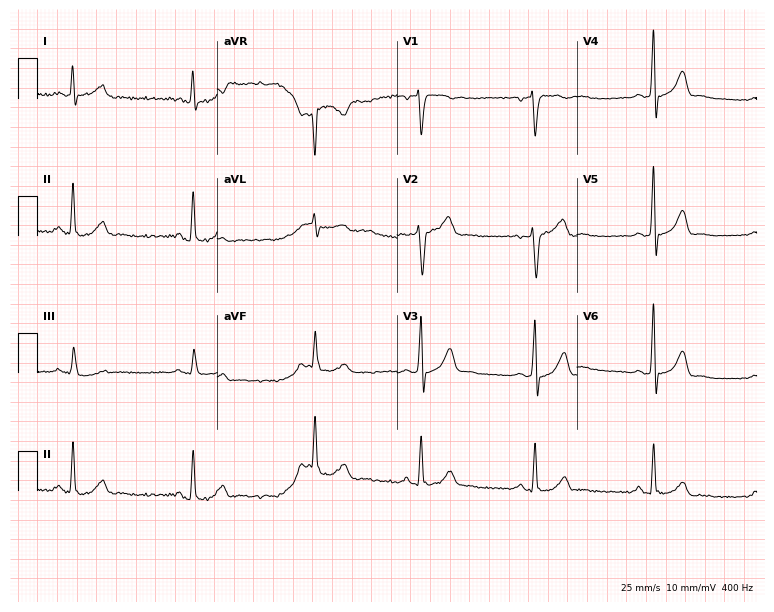
Standard 12-lead ECG recorded from a 58-year-old male patient (7.3-second recording at 400 Hz). The tracing shows sinus bradycardia (a sinus rate of 50 beats per minute or less).